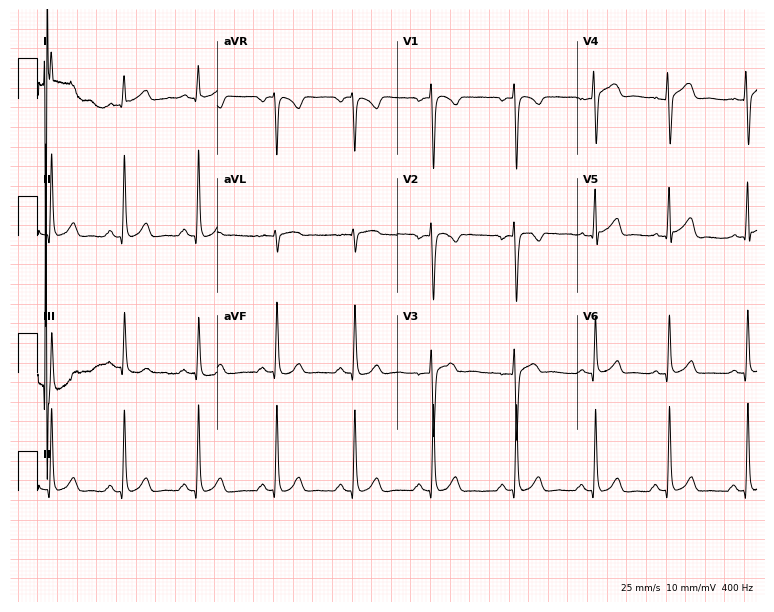
ECG — an 18-year-old man. Labelled as a normal ECG.